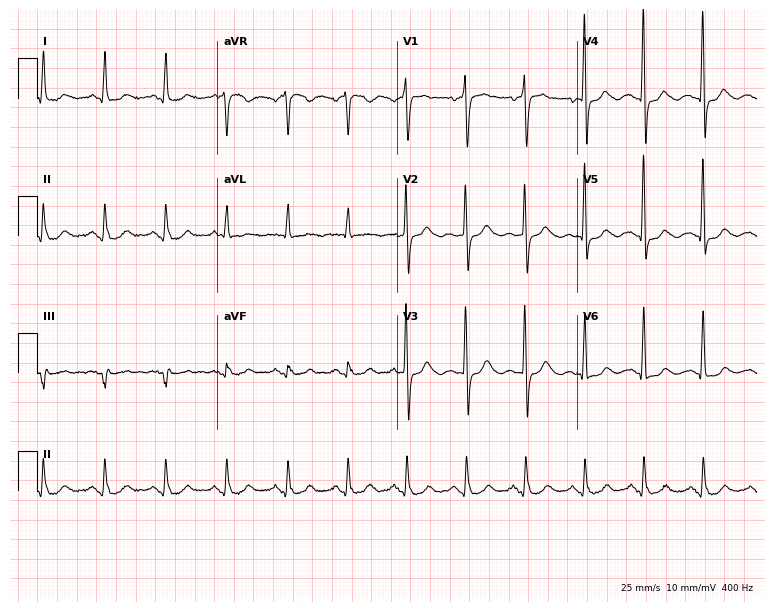
12-lead ECG from a female, 59 years old. No first-degree AV block, right bundle branch block, left bundle branch block, sinus bradycardia, atrial fibrillation or sinus tachycardia recorded for this tracing. Only these six findings were labelled.